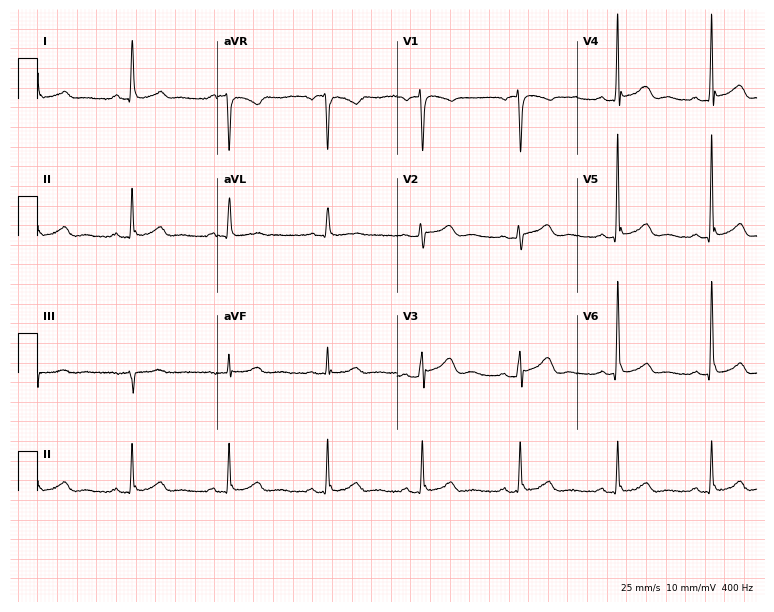
12-lead ECG from a female patient, 62 years old. Screened for six findings — first-degree AV block, right bundle branch block, left bundle branch block, sinus bradycardia, atrial fibrillation, sinus tachycardia — none is recorded. Only these six findings were labelled.